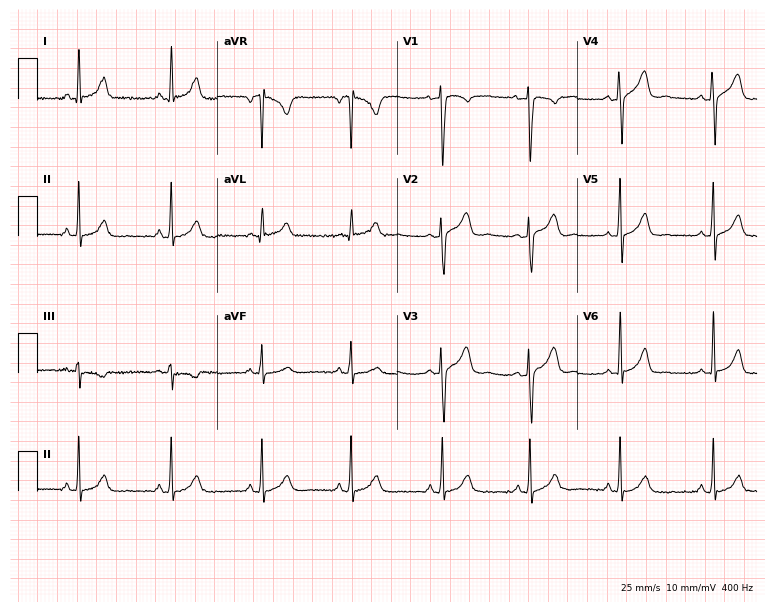
ECG — a female patient, 29 years old. Labelled as a normal ECG.